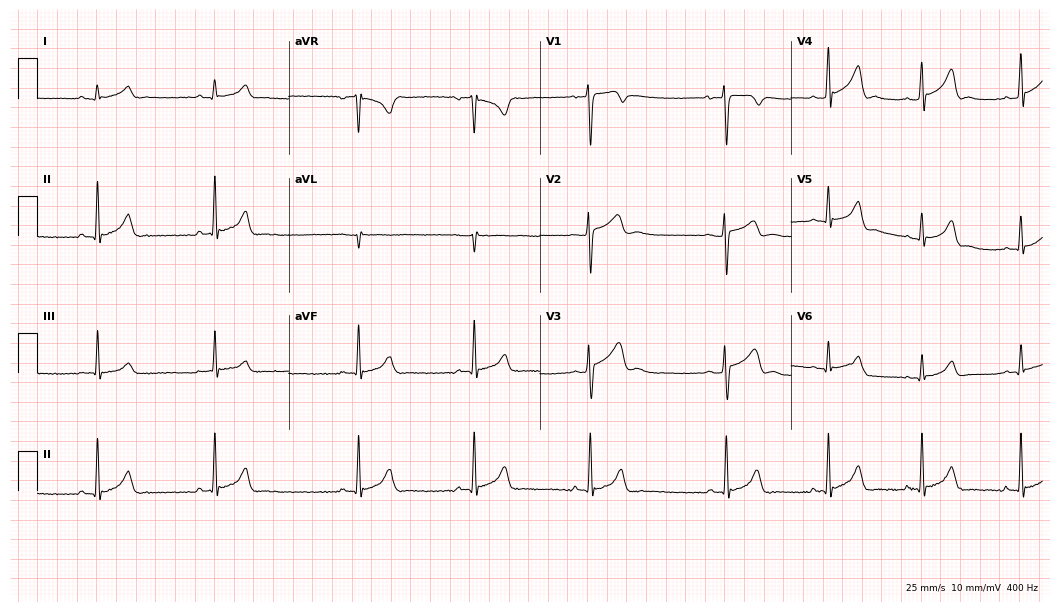
Electrocardiogram (10.2-second recording at 400 Hz), a man, 18 years old. Of the six screened findings (first-degree AV block, right bundle branch block, left bundle branch block, sinus bradycardia, atrial fibrillation, sinus tachycardia), none is recorded. Only these six findings were labelled.